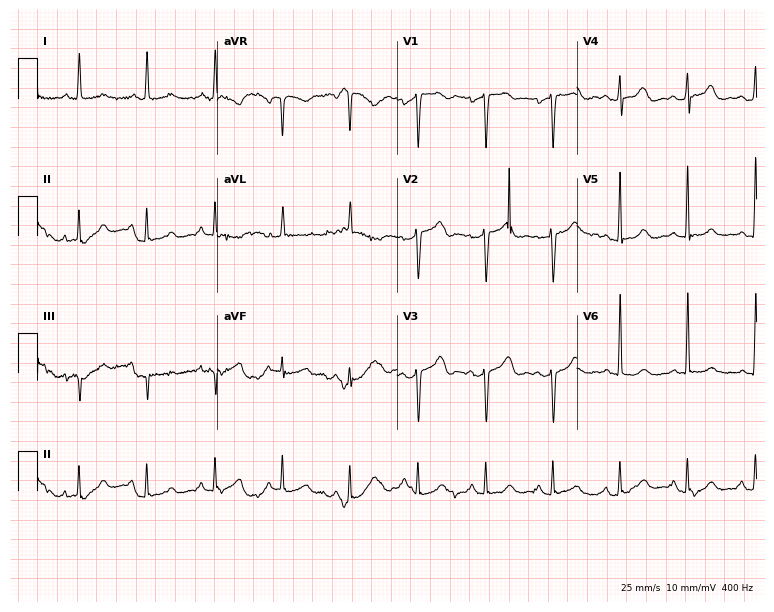
12-lead ECG (7.3-second recording at 400 Hz) from a female patient, 82 years old. Labelled as a normal ECG.